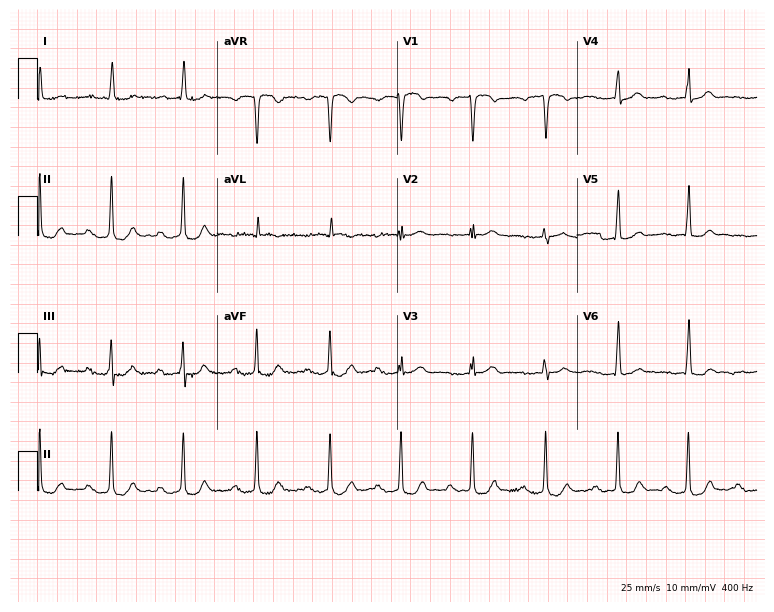
12-lead ECG from a female patient, 81 years old. No first-degree AV block, right bundle branch block (RBBB), left bundle branch block (LBBB), sinus bradycardia, atrial fibrillation (AF) or sinus tachycardia recorded for this tracing. Other findings, if any, are not listed.